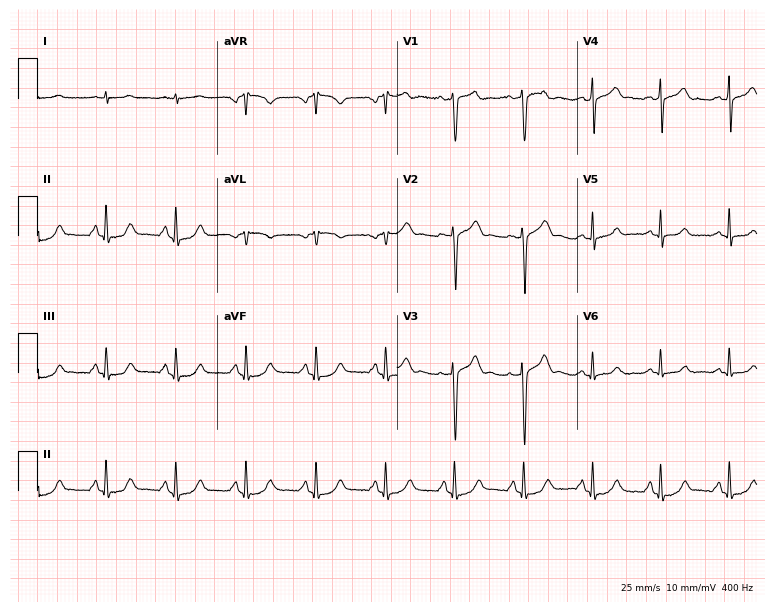
Electrocardiogram (7.3-second recording at 400 Hz), a 50-year-old male. Overall reading on record: normal ECG.